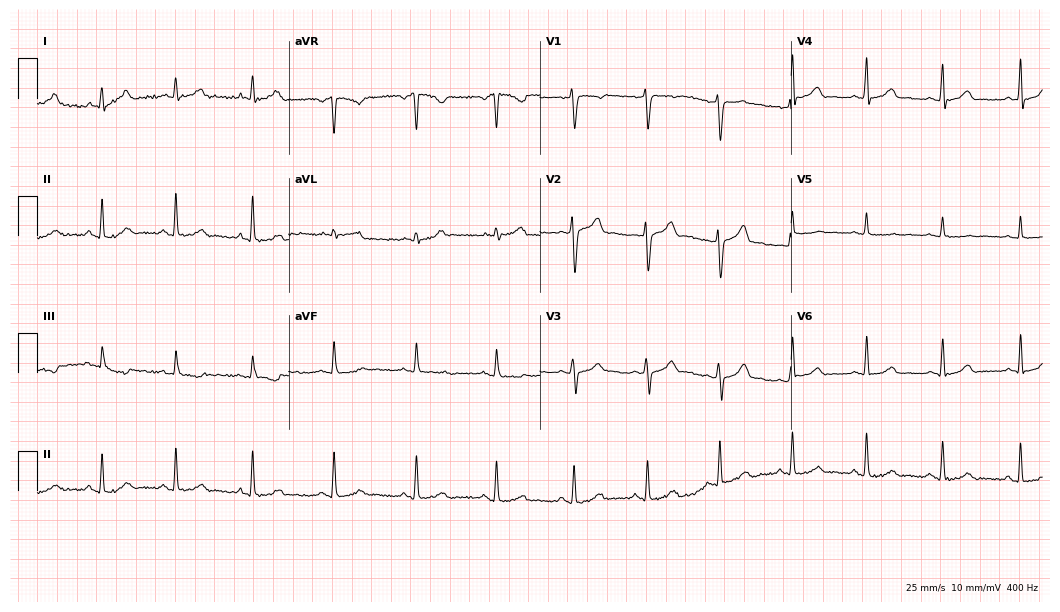
ECG (10.2-second recording at 400 Hz) — a man, 41 years old. Screened for six findings — first-degree AV block, right bundle branch block (RBBB), left bundle branch block (LBBB), sinus bradycardia, atrial fibrillation (AF), sinus tachycardia — none is recorded. Findings outside these six are not listed.